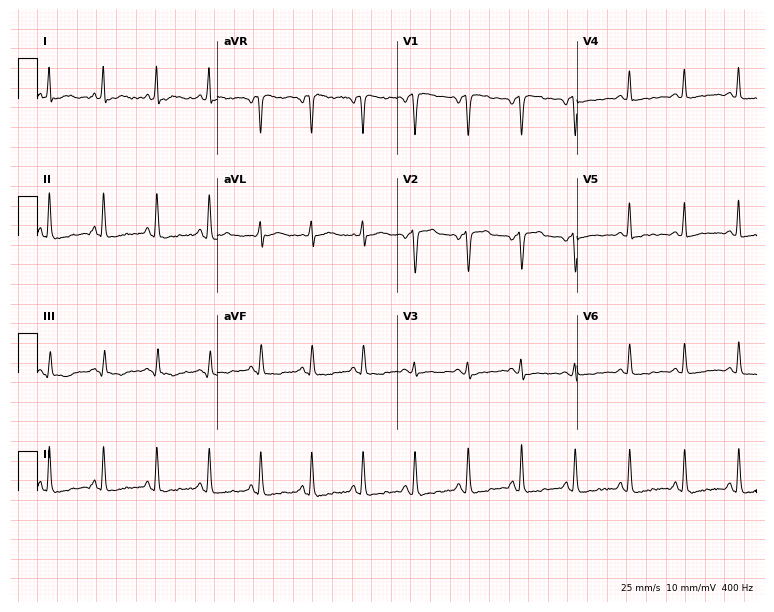
12-lead ECG from a female, 50 years old. Shows sinus tachycardia (a sinus rate of 100 beats per minute or more).